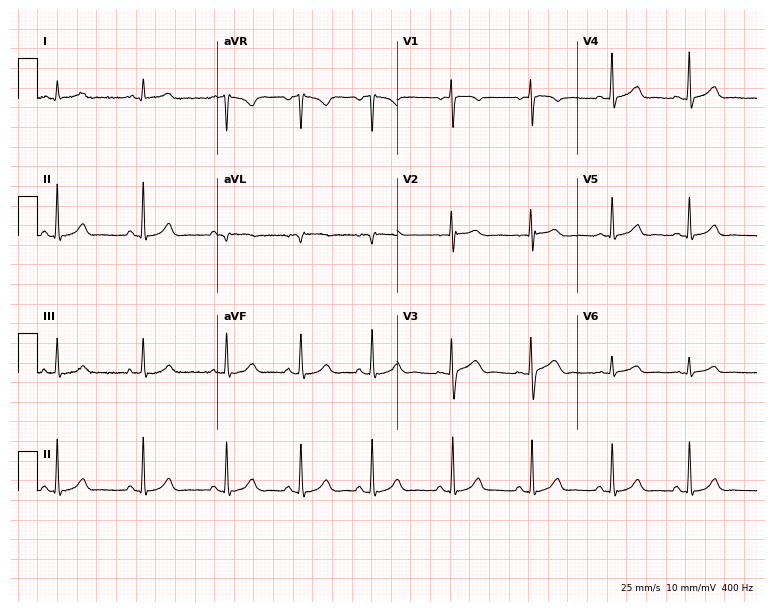
ECG — a female, 21 years old. Labelled as a normal ECG.